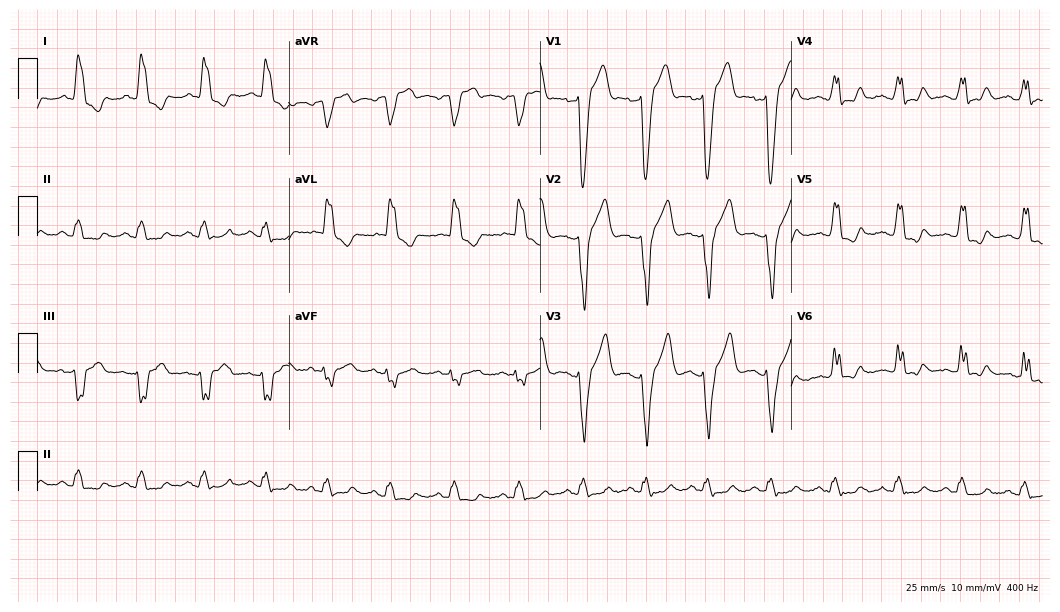
Electrocardiogram (10.2-second recording at 400 Hz), a 63-year-old male. Interpretation includes left bundle branch block.